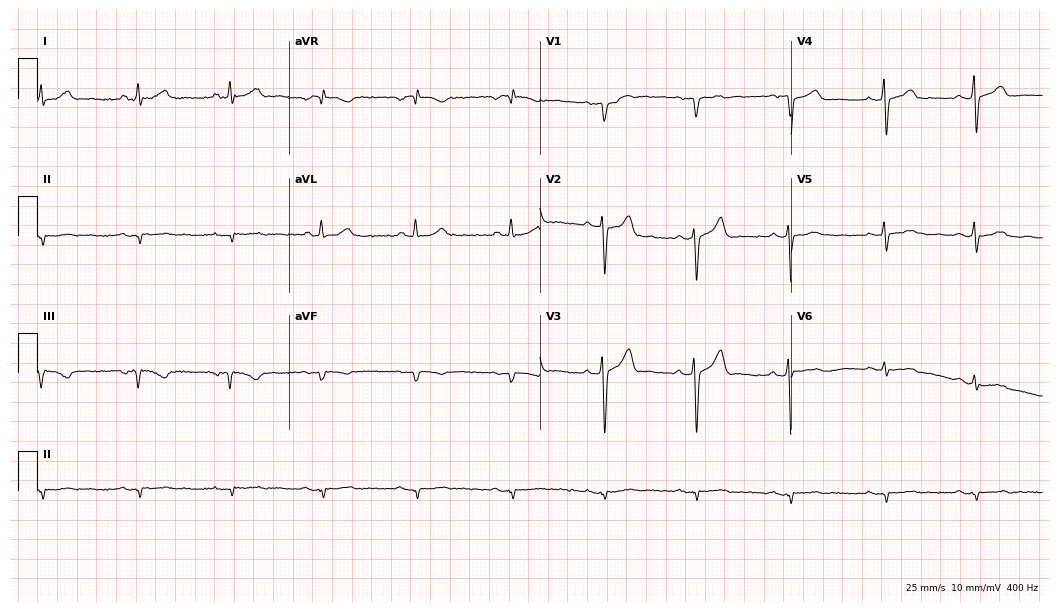
12-lead ECG from a 57-year-old male. No first-degree AV block, right bundle branch block (RBBB), left bundle branch block (LBBB), sinus bradycardia, atrial fibrillation (AF) or sinus tachycardia recorded for this tracing. Only these six findings were labelled.